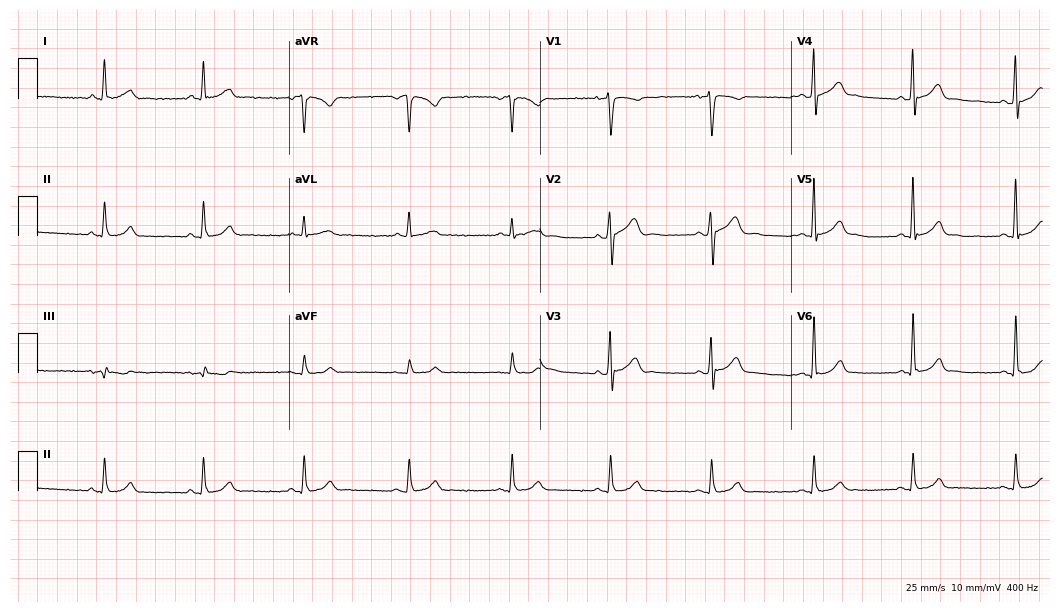
Standard 12-lead ECG recorded from a 31-year-old man (10.2-second recording at 400 Hz). Read as a normal ECG.